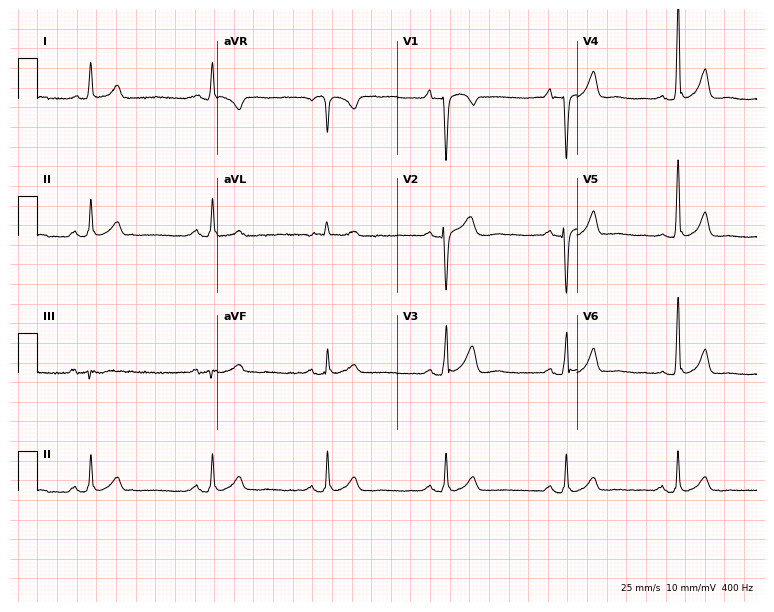
Standard 12-lead ECG recorded from a male, 31 years old (7.3-second recording at 400 Hz). The tracing shows sinus bradycardia (a sinus rate of 50 beats per minute or less).